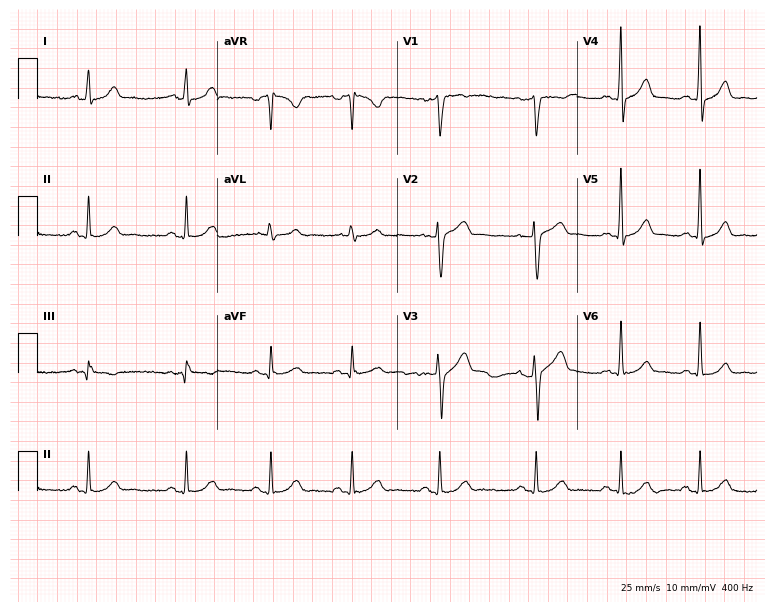
12-lead ECG from a 27-year-old man (7.3-second recording at 400 Hz). Recorded interpretation: within normal limits.